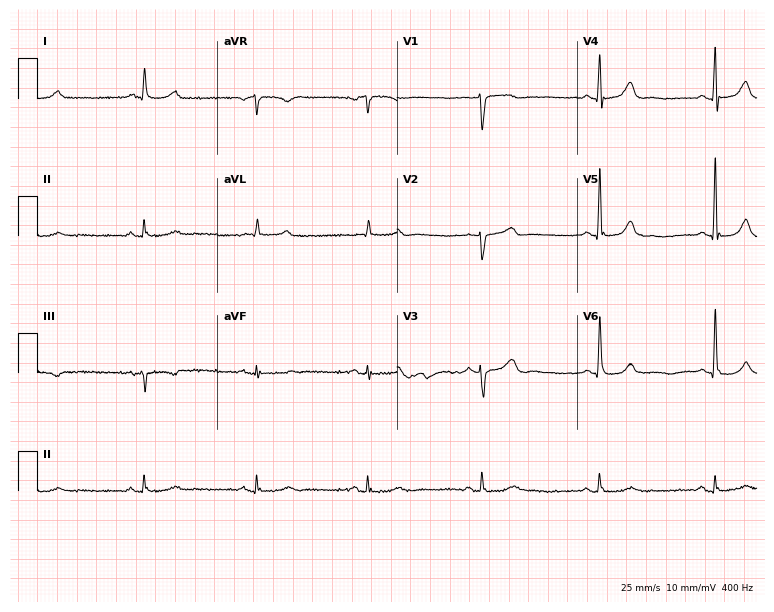
12-lead ECG (7.3-second recording at 400 Hz) from a 78-year-old male. Labelled as a normal ECG.